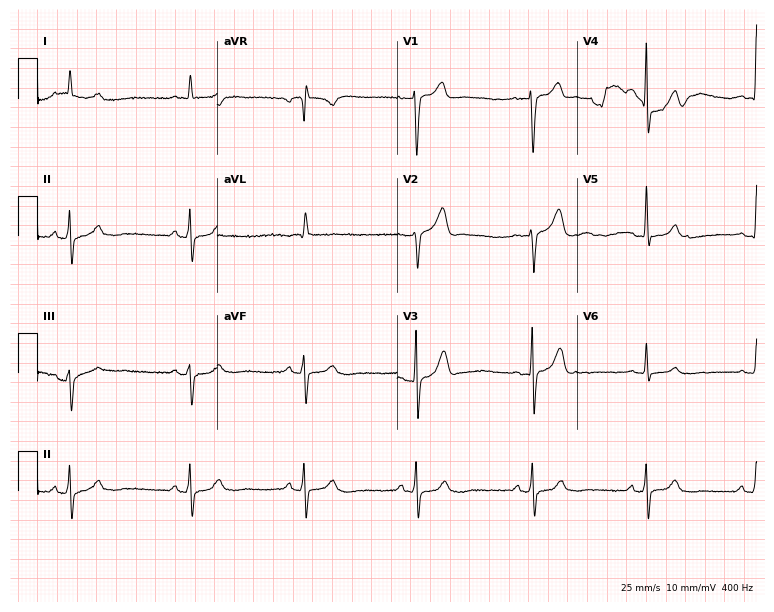
12-lead ECG (7.3-second recording at 400 Hz) from a 74-year-old male patient. Screened for six findings — first-degree AV block, right bundle branch block, left bundle branch block, sinus bradycardia, atrial fibrillation, sinus tachycardia — none is recorded. Findings outside these six are not listed.